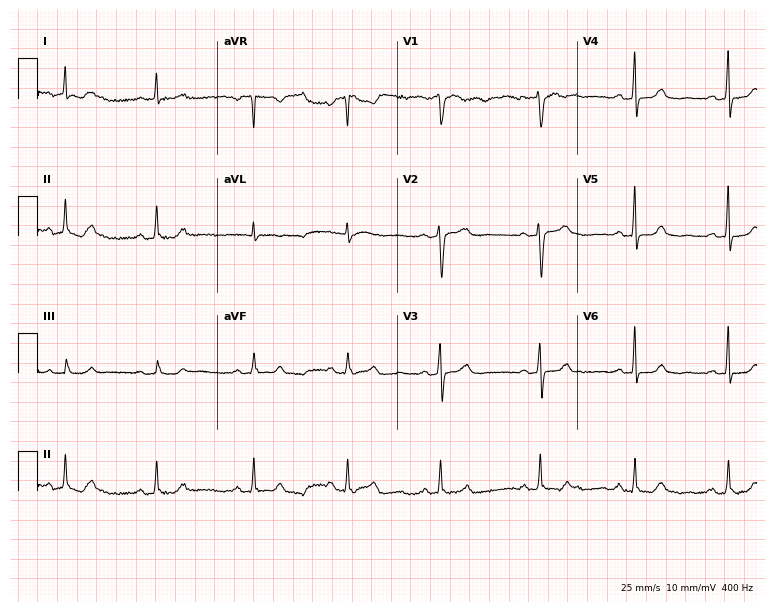
Resting 12-lead electrocardiogram (7.3-second recording at 400 Hz). Patient: a female, 53 years old. Read as a normal ECG.